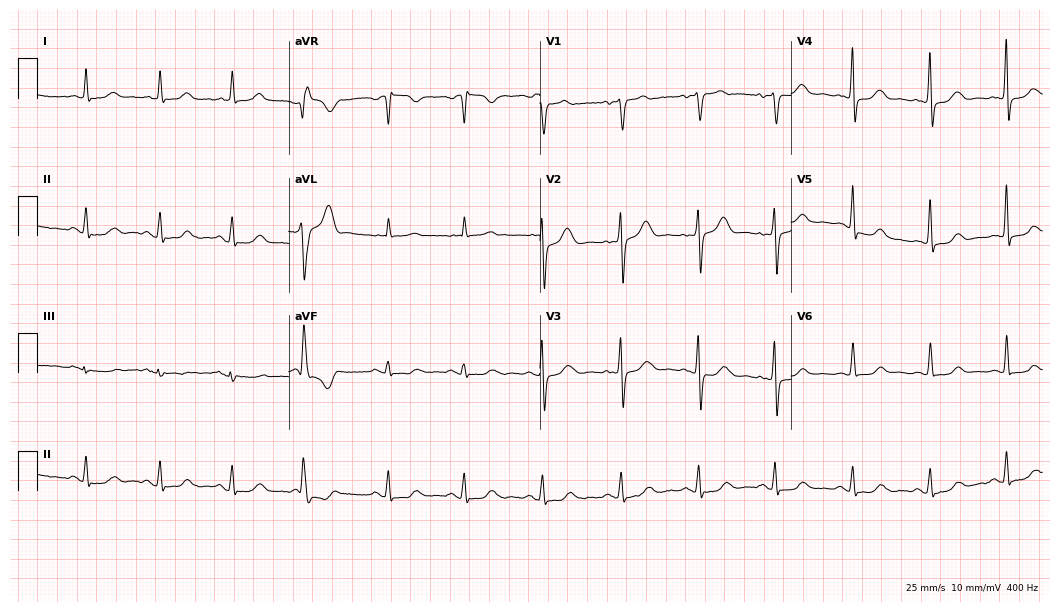
Resting 12-lead electrocardiogram. Patient: a woman, 50 years old. None of these six findings is recorded: first-degree AV block, right bundle branch block, left bundle branch block, sinus bradycardia, atrial fibrillation, sinus tachycardia.